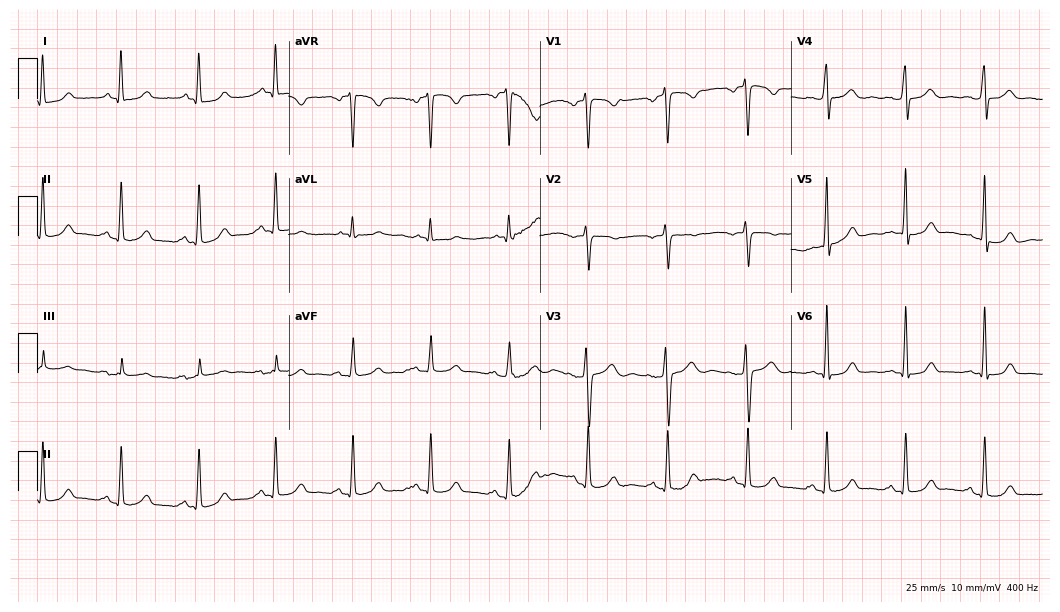
Standard 12-lead ECG recorded from a 42-year-old female (10.2-second recording at 400 Hz). Read as a normal ECG.